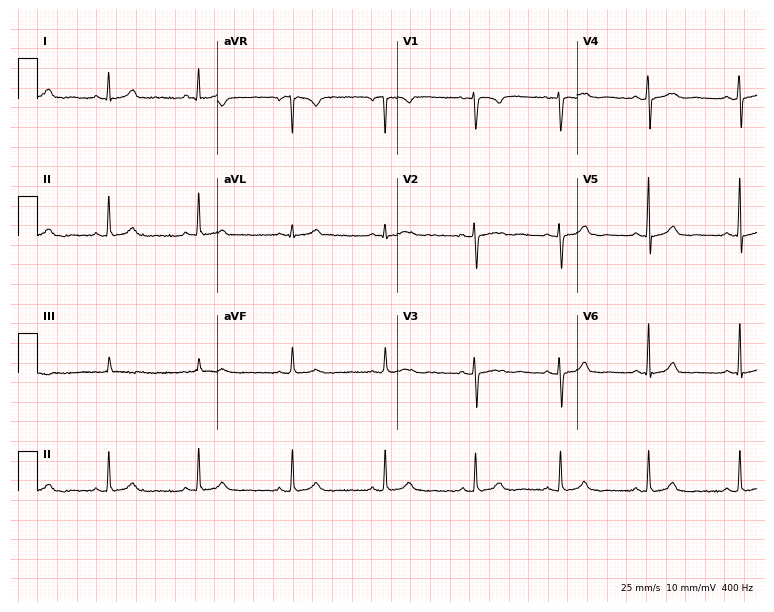
Standard 12-lead ECG recorded from a 38-year-old woman. Read as a normal ECG.